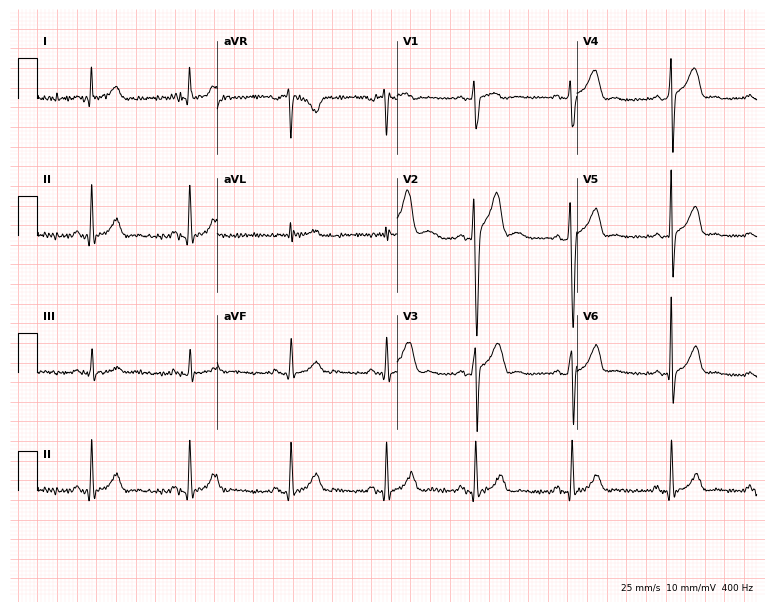
Electrocardiogram (7.3-second recording at 400 Hz), a 33-year-old man. Overall reading on record: normal ECG.